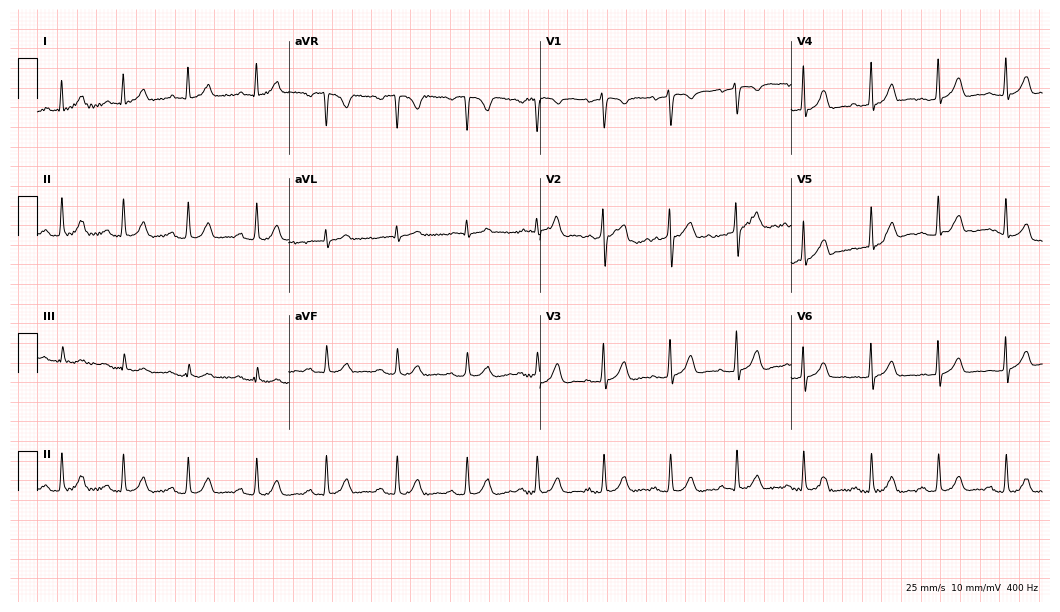
Electrocardiogram, a male patient, 56 years old. Overall reading on record: normal ECG.